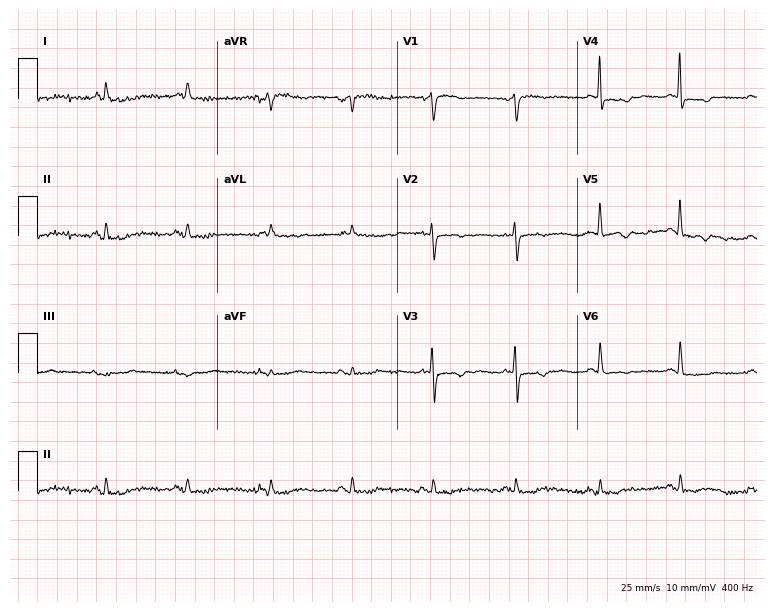
Standard 12-lead ECG recorded from a female patient, 66 years old. None of these six findings is recorded: first-degree AV block, right bundle branch block, left bundle branch block, sinus bradycardia, atrial fibrillation, sinus tachycardia. Only these six findings were labelled.